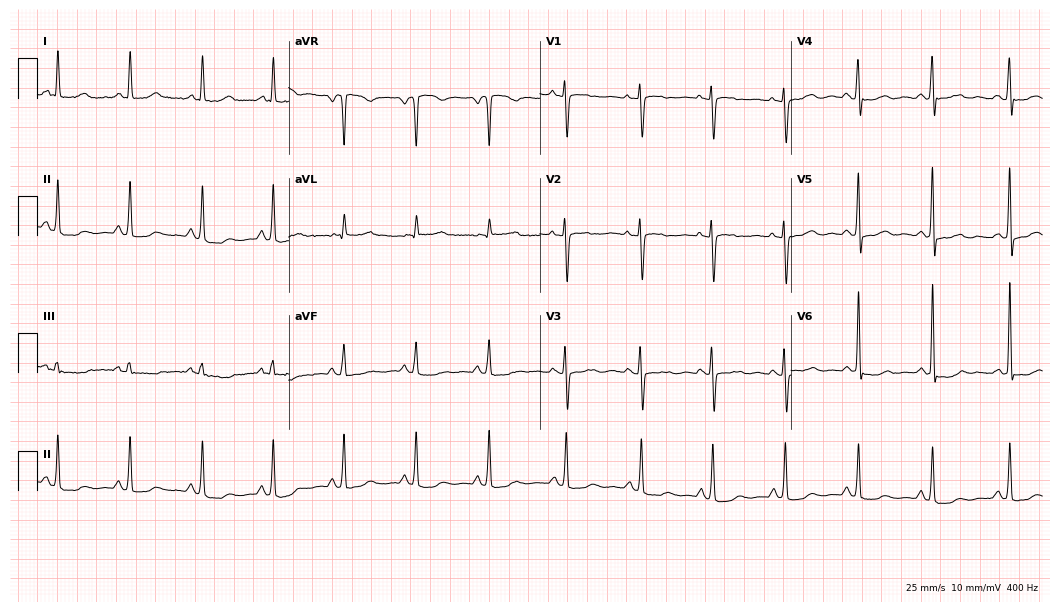
Standard 12-lead ECG recorded from a female, 49 years old. None of these six findings is recorded: first-degree AV block, right bundle branch block, left bundle branch block, sinus bradycardia, atrial fibrillation, sinus tachycardia. Other findings, if any, are not listed.